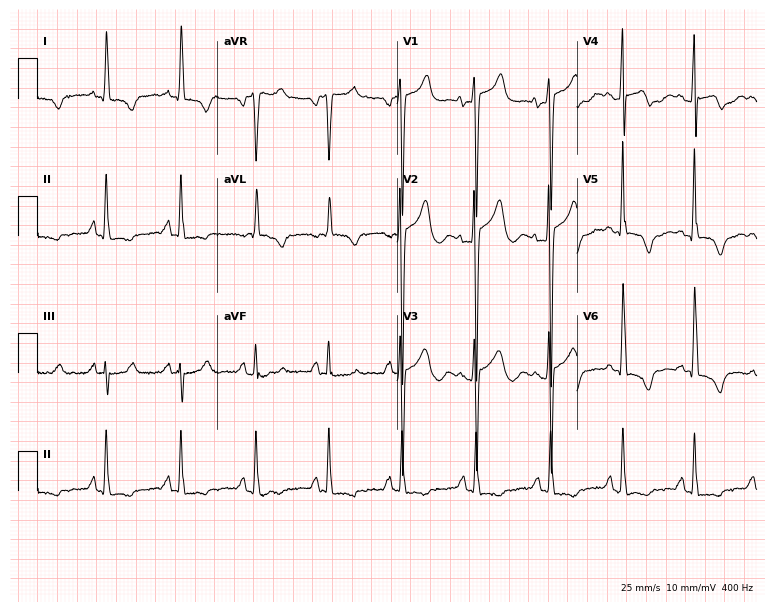
12-lead ECG from a 40-year-old female. Screened for six findings — first-degree AV block, right bundle branch block (RBBB), left bundle branch block (LBBB), sinus bradycardia, atrial fibrillation (AF), sinus tachycardia — none is recorded.